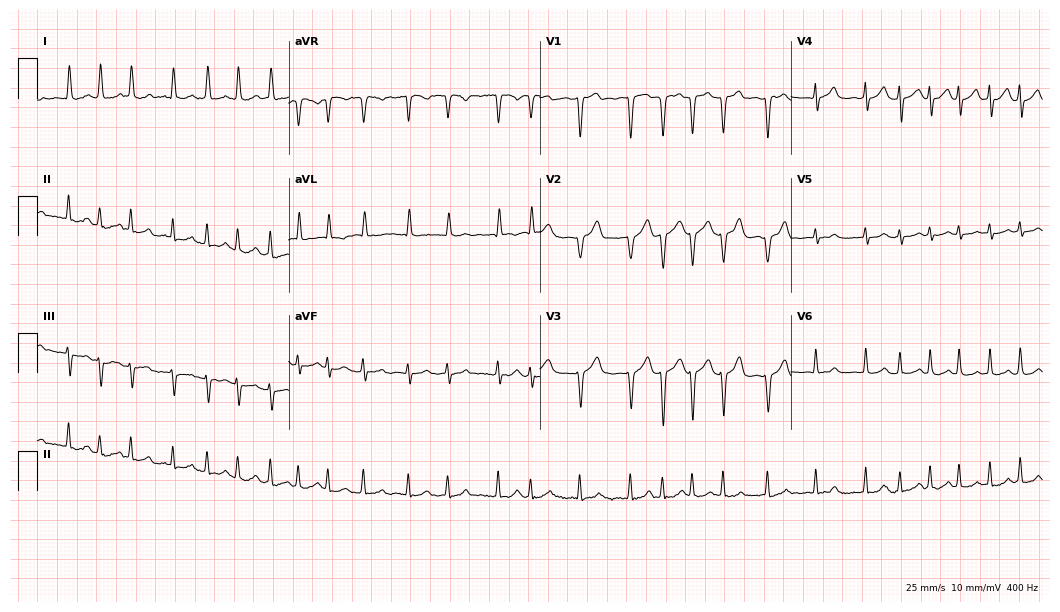
Electrocardiogram, a 46-year-old female. Interpretation includes atrial fibrillation.